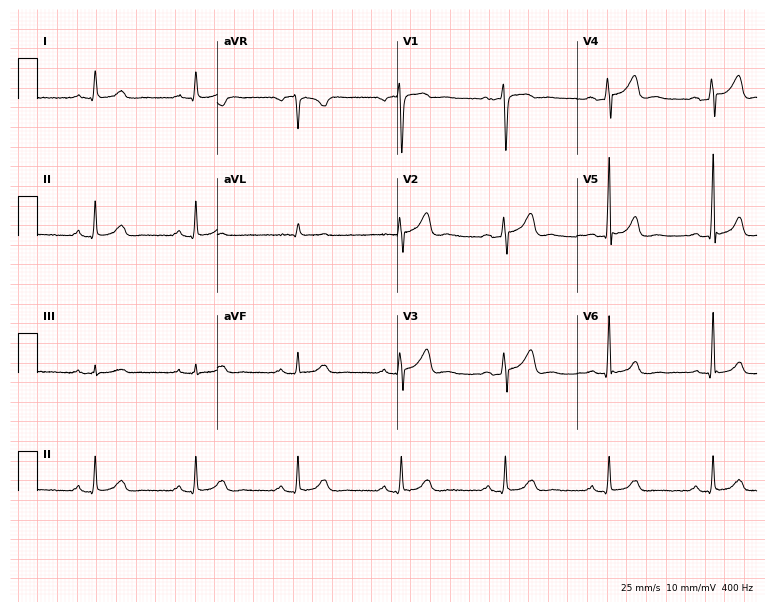
Electrocardiogram, a 62-year-old male patient. Of the six screened findings (first-degree AV block, right bundle branch block (RBBB), left bundle branch block (LBBB), sinus bradycardia, atrial fibrillation (AF), sinus tachycardia), none is recorded.